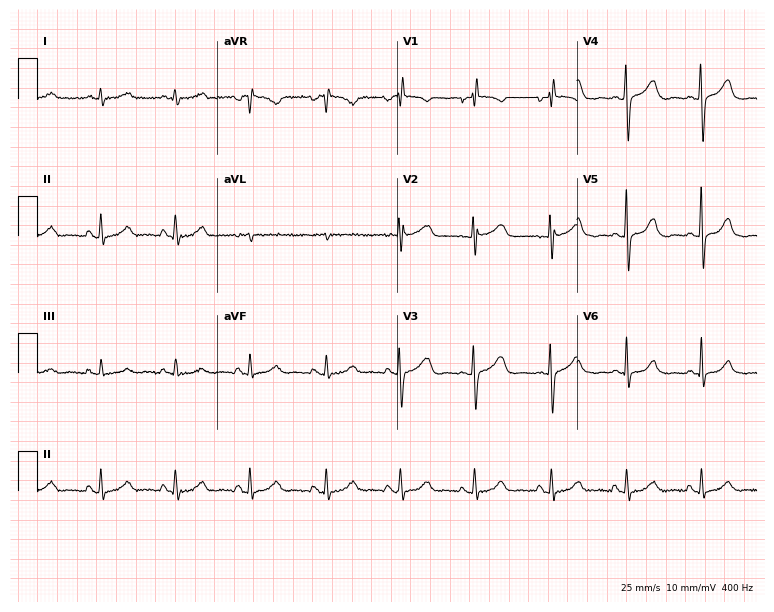
12-lead ECG from an 80-year-old woman. Screened for six findings — first-degree AV block, right bundle branch block (RBBB), left bundle branch block (LBBB), sinus bradycardia, atrial fibrillation (AF), sinus tachycardia — none is recorded.